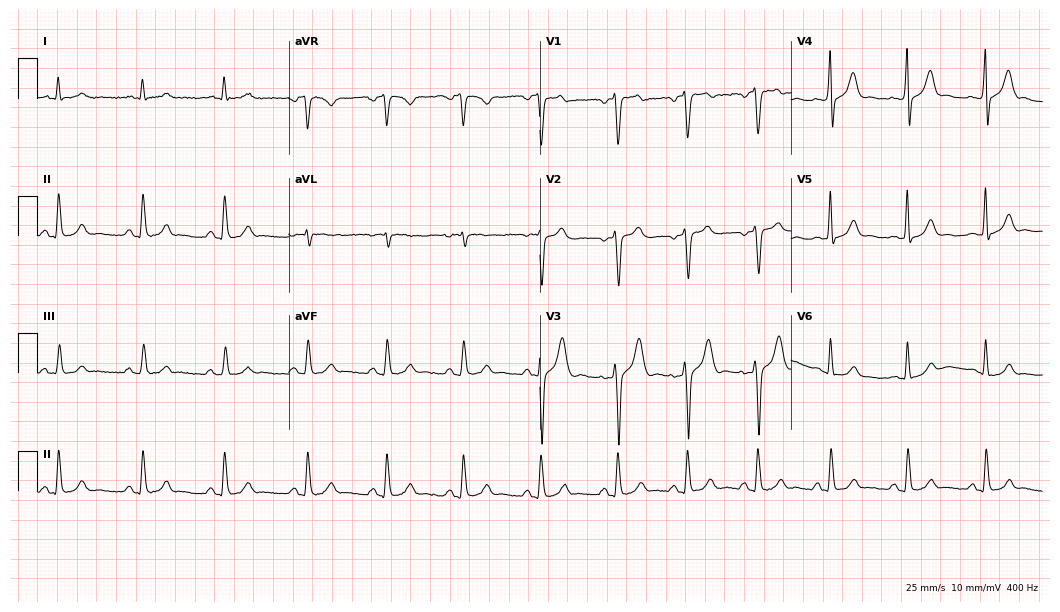
12-lead ECG from a 33-year-old male patient. Screened for six findings — first-degree AV block, right bundle branch block, left bundle branch block, sinus bradycardia, atrial fibrillation, sinus tachycardia — none is recorded. Other findings, if any, are not listed.